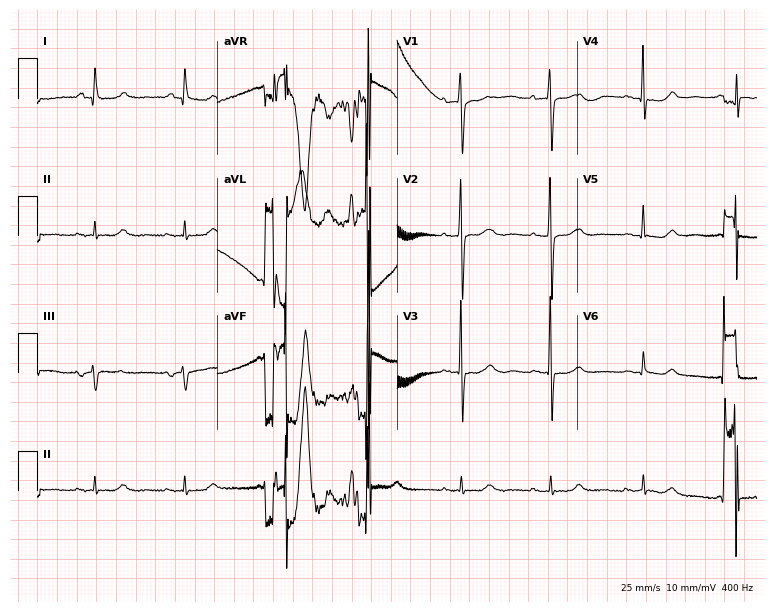
Resting 12-lead electrocardiogram. Patient: a female, 58 years old. Read as a normal ECG.